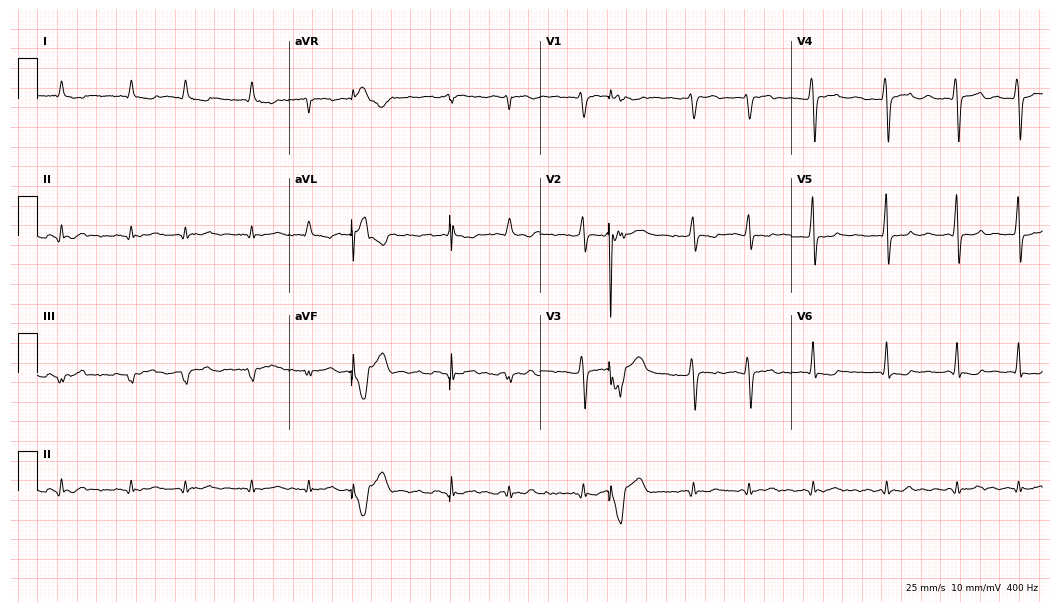
12-lead ECG from a 72-year-old male. No first-degree AV block, right bundle branch block, left bundle branch block, sinus bradycardia, atrial fibrillation or sinus tachycardia recorded for this tracing. Other findings, if any, are not listed.